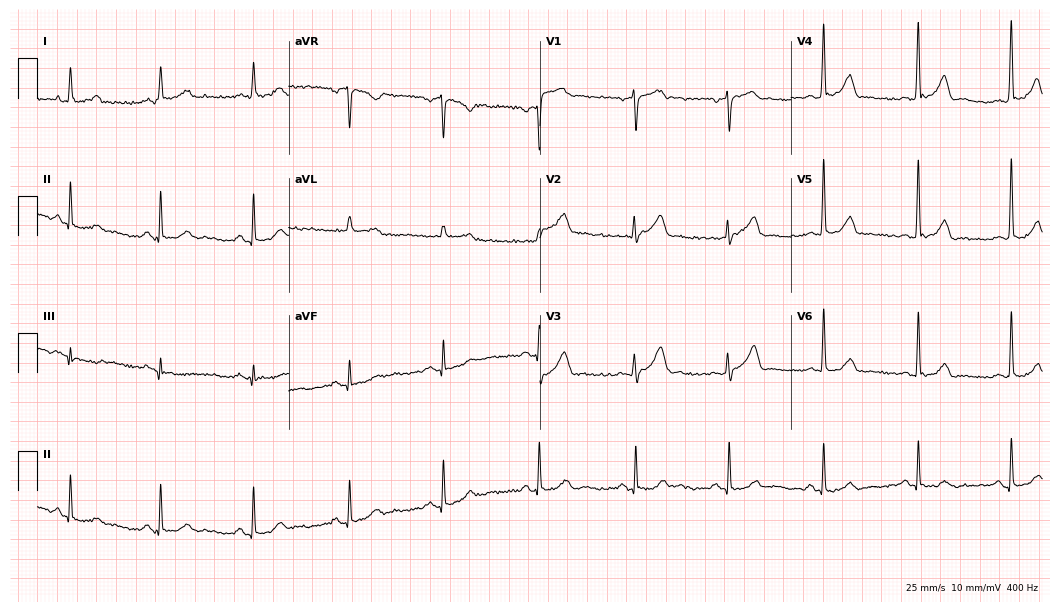
12-lead ECG from a male patient, 69 years old. Labelled as a normal ECG.